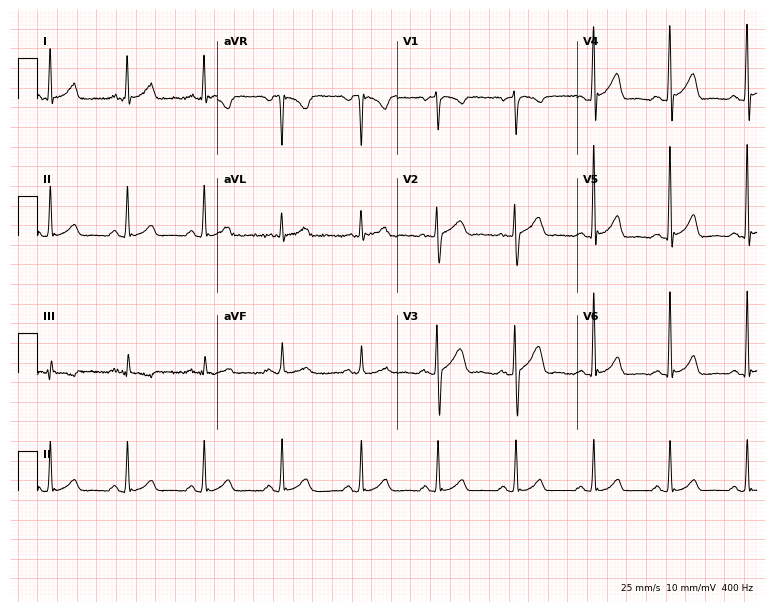
Standard 12-lead ECG recorded from a 48-year-old man. Read as a normal ECG.